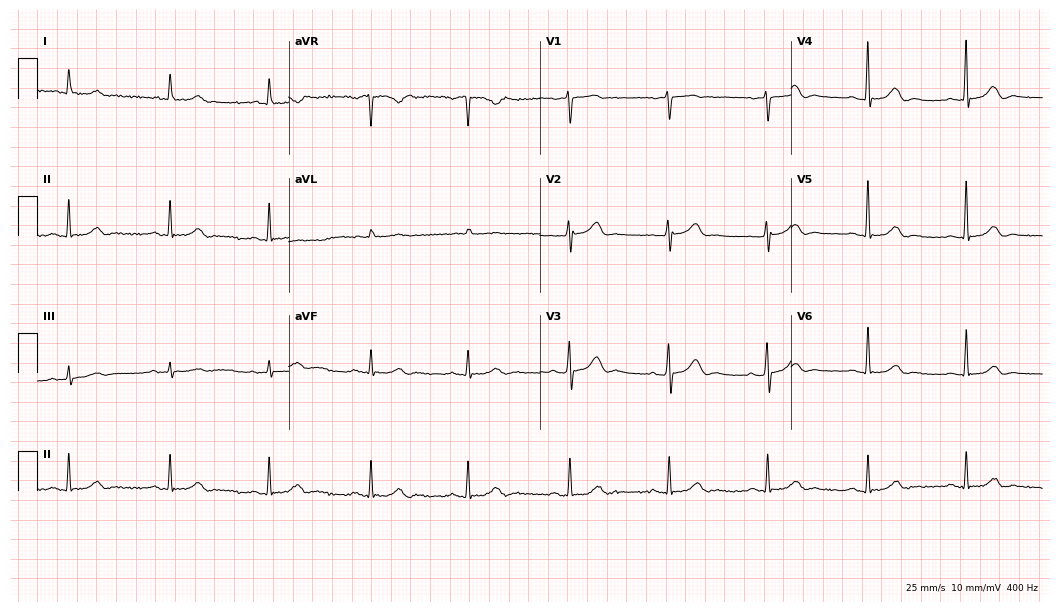
ECG (10.2-second recording at 400 Hz) — a female, 82 years old. Labelled as a normal ECG.